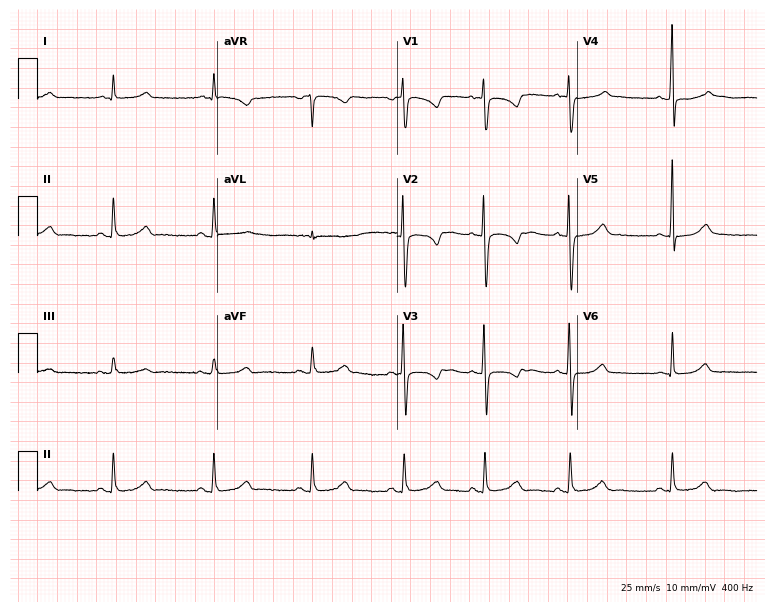
Standard 12-lead ECG recorded from a female, 20 years old (7.3-second recording at 400 Hz). None of these six findings is recorded: first-degree AV block, right bundle branch block (RBBB), left bundle branch block (LBBB), sinus bradycardia, atrial fibrillation (AF), sinus tachycardia.